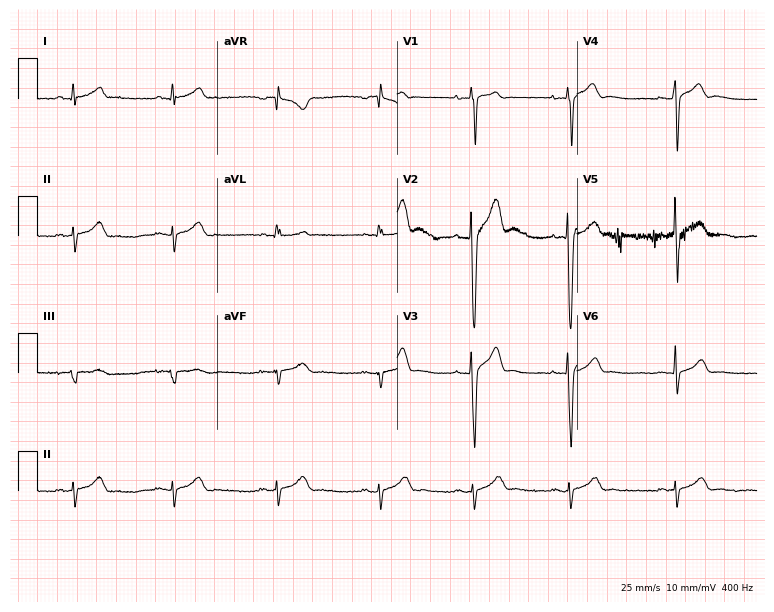
Resting 12-lead electrocardiogram (7.3-second recording at 400 Hz). Patient: a 17-year-old man. None of these six findings is recorded: first-degree AV block, right bundle branch block, left bundle branch block, sinus bradycardia, atrial fibrillation, sinus tachycardia. Only these six findings were labelled.